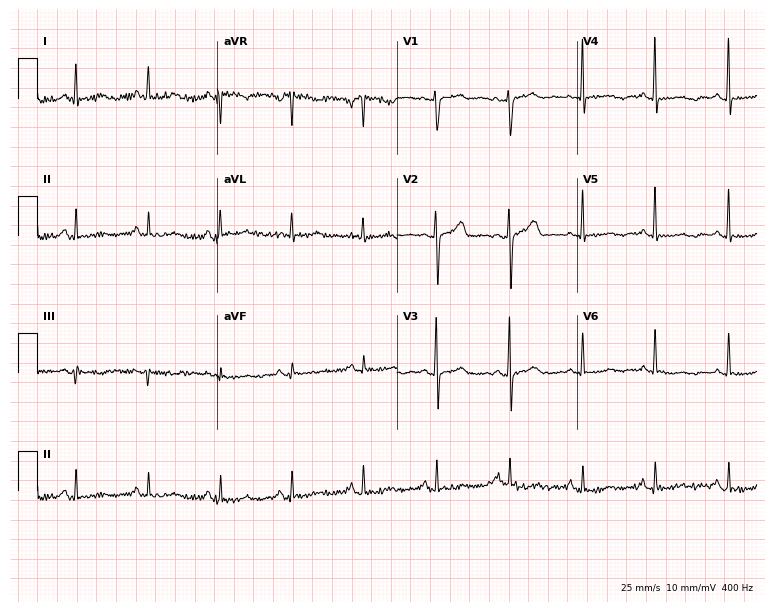
Electrocardiogram, a 61-year-old female. Of the six screened findings (first-degree AV block, right bundle branch block, left bundle branch block, sinus bradycardia, atrial fibrillation, sinus tachycardia), none is recorded.